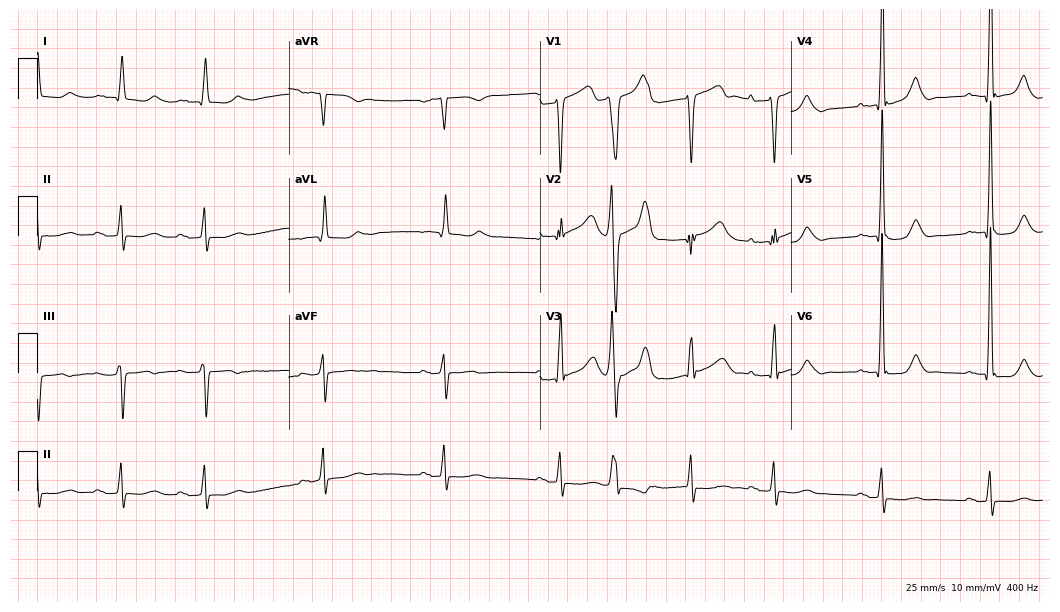
Standard 12-lead ECG recorded from a man, 77 years old. The tracing shows first-degree AV block.